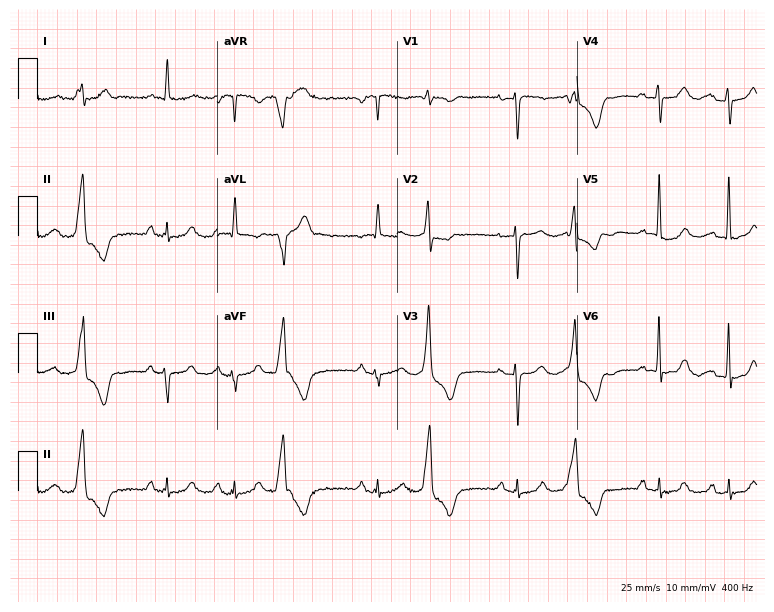
Standard 12-lead ECG recorded from a woman, 66 years old. None of these six findings is recorded: first-degree AV block, right bundle branch block, left bundle branch block, sinus bradycardia, atrial fibrillation, sinus tachycardia.